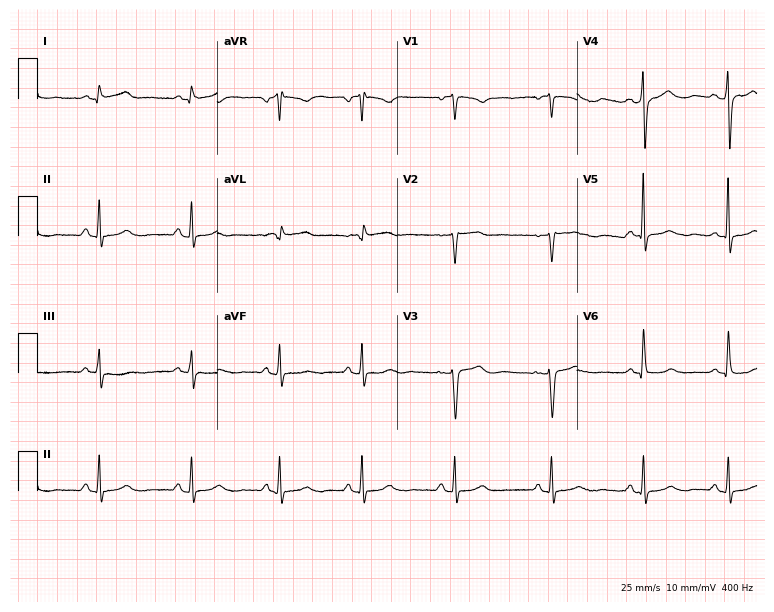
Electrocardiogram, a 67-year-old female patient. Overall reading on record: normal ECG.